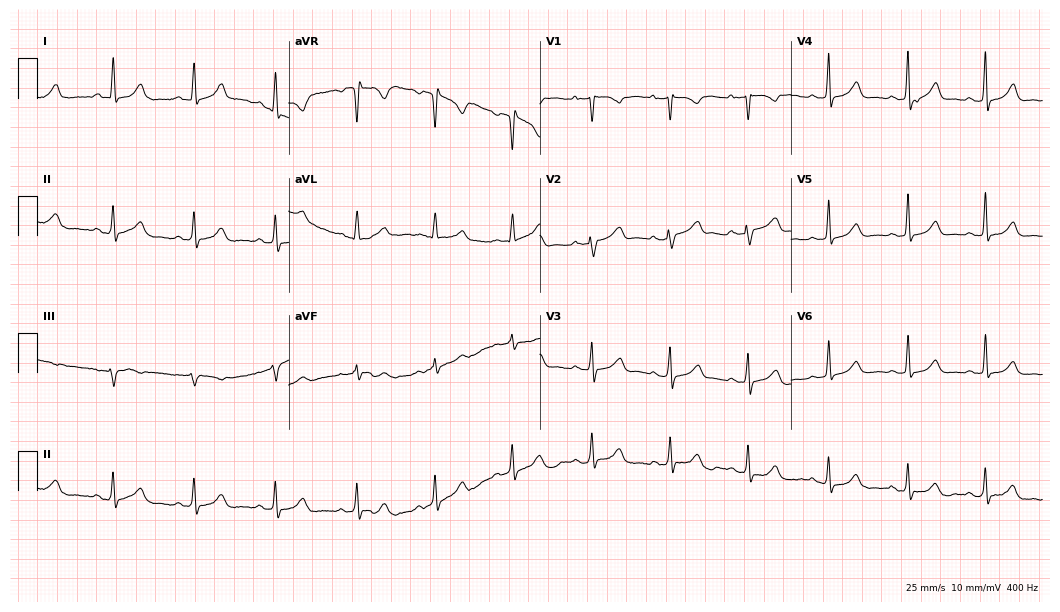
Standard 12-lead ECG recorded from a female patient, 44 years old (10.2-second recording at 400 Hz). Read as a normal ECG.